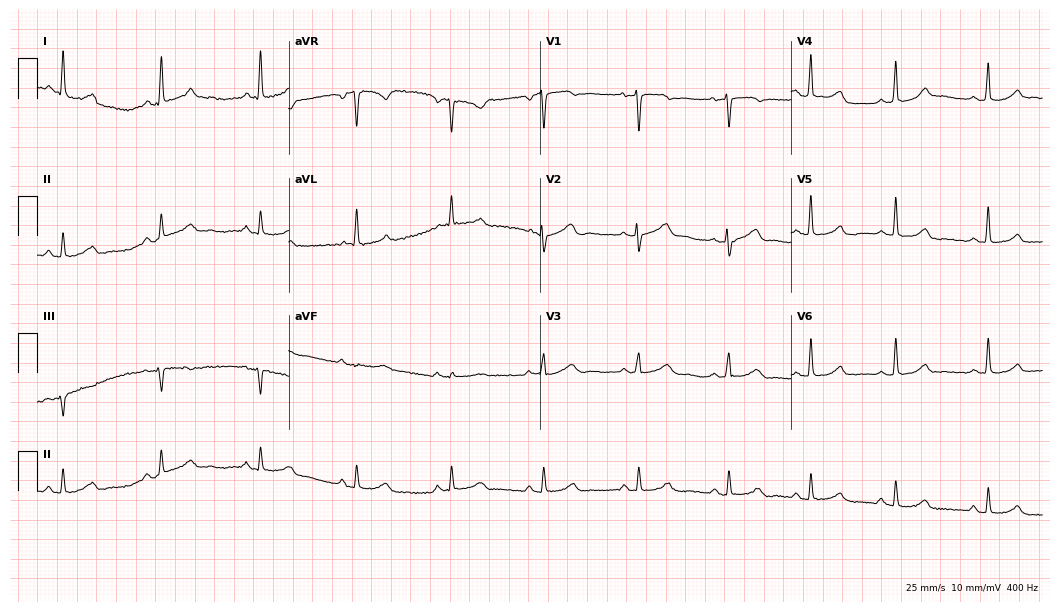
Electrocardiogram, a 56-year-old woman. Of the six screened findings (first-degree AV block, right bundle branch block, left bundle branch block, sinus bradycardia, atrial fibrillation, sinus tachycardia), none is recorded. Only these six findings were labelled.